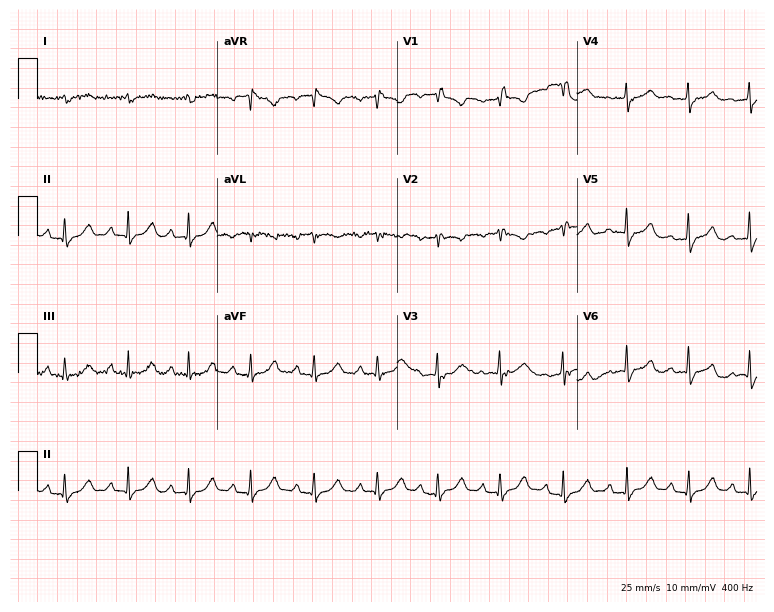
Electrocardiogram, an 85-year-old man. Of the six screened findings (first-degree AV block, right bundle branch block (RBBB), left bundle branch block (LBBB), sinus bradycardia, atrial fibrillation (AF), sinus tachycardia), none is recorded.